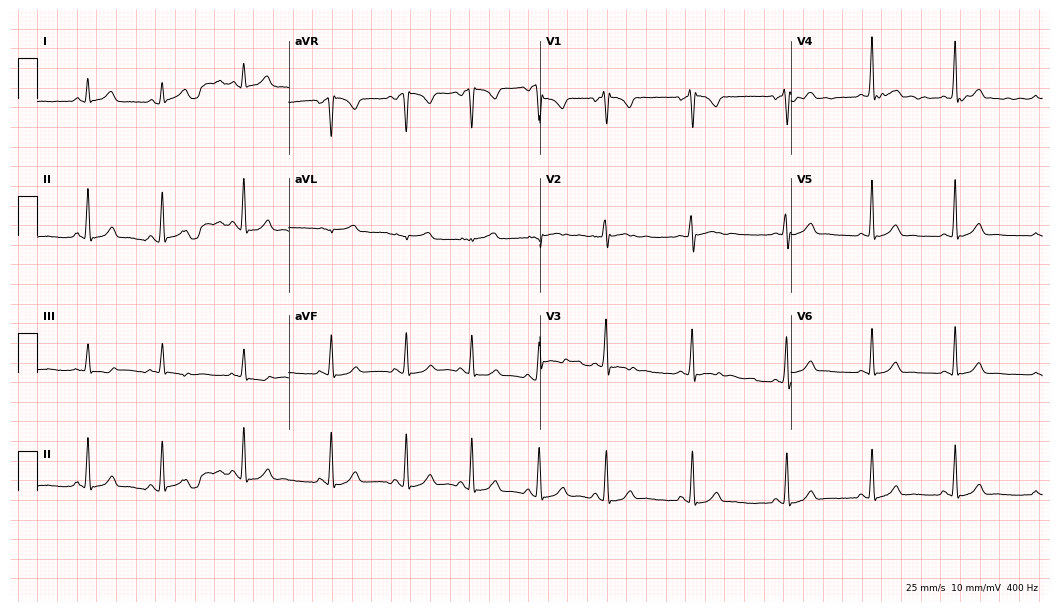
12-lead ECG (10.2-second recording at 400 Hz) from a 22-year-old female. Screened for six findings — first-degree AV block, right bundle branch block (RBBB), left bundle branch block (LBBB), sinus bradycardia, atrial fibrillation (AF), sinus tachycardia — none is recorded.